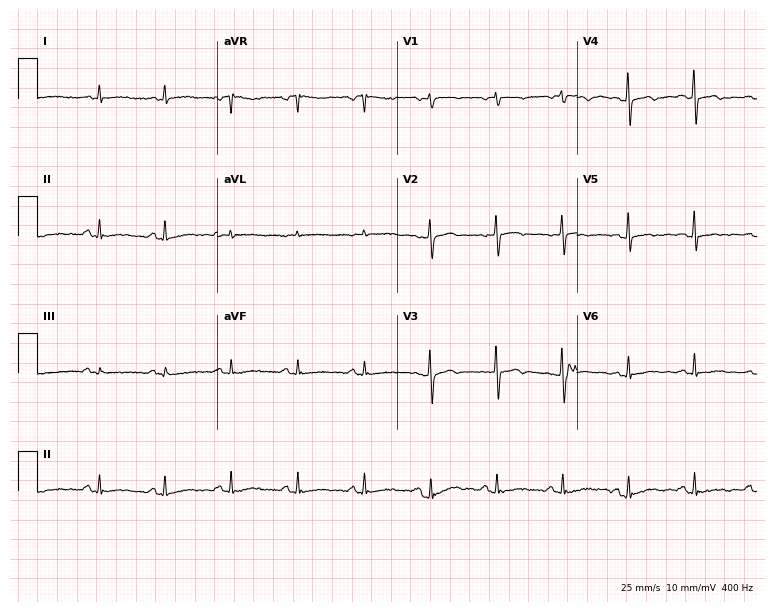
Resting 12-lead electrocardiogram (7.3-second recording at 400 Hz). Patient: a 67-year-old woman. None of these six findings is recorded: first-degree AV block, right bundle branch block (RBBB), left bundle branch block (LBBB), sinus bradycardia, atrial fibrillation (AF), sinus tachycardia. Other findings, if any, are not listed.